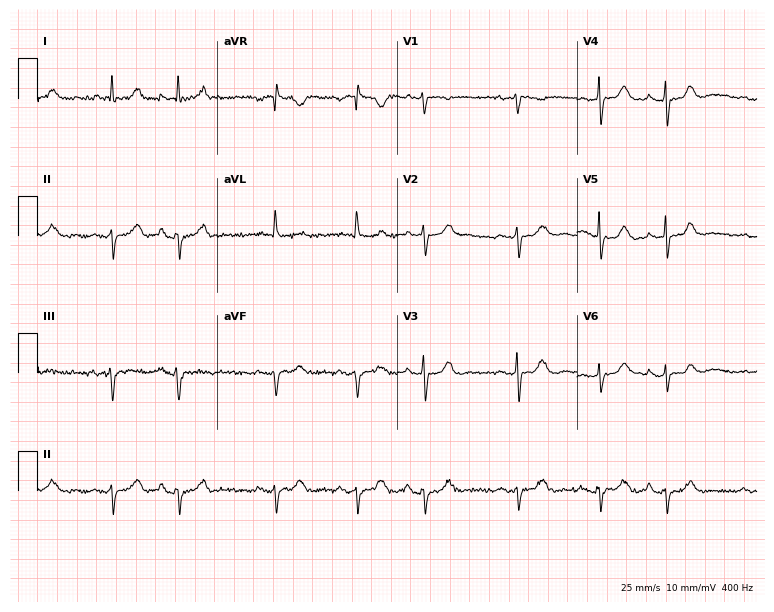
Resting 12-lead electrocardiogram (7.3-second recording at 400 Hz). Patient: an 80-year-old female. None of these six findings is recorded: first-degree AV block, right bundle branch block, left bundle branch block, sinus bradycardia, atrial fibrillation, sinus tachycardia.